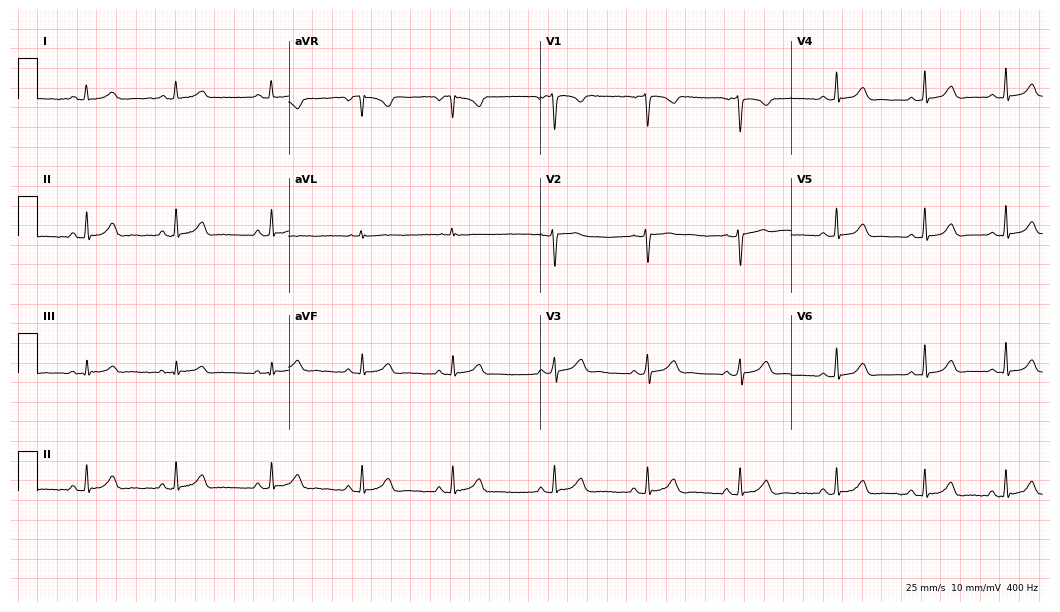
Electrocardiogram, a female patient, 29 years old. Overall reading on record: normal ECG.